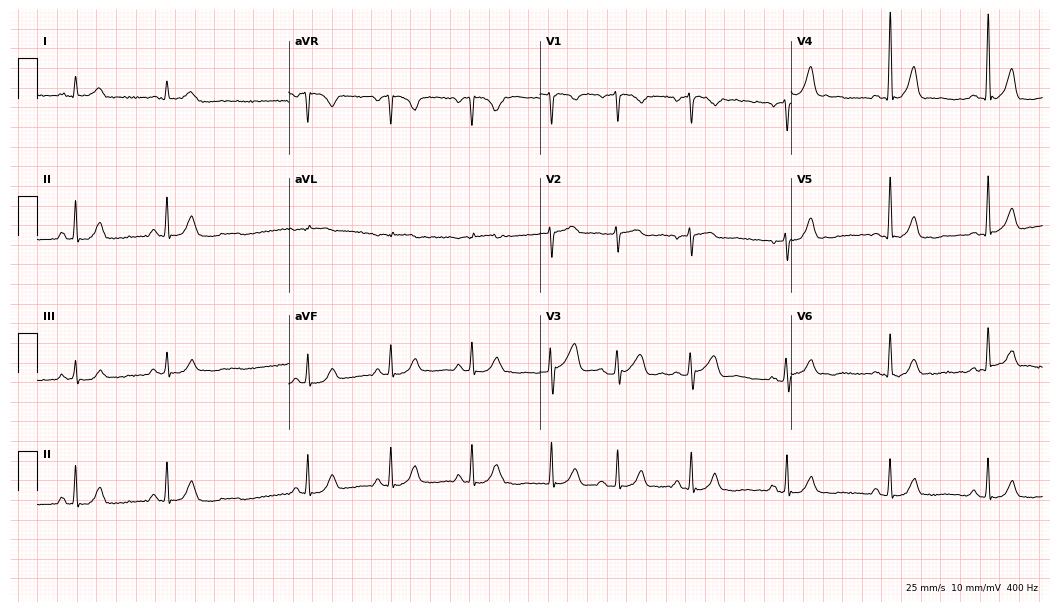
Standard 12-lead ECG recorded from a 68-year-old male patient (10.2-second recording at 400 Hz). Read as a normal ECG.